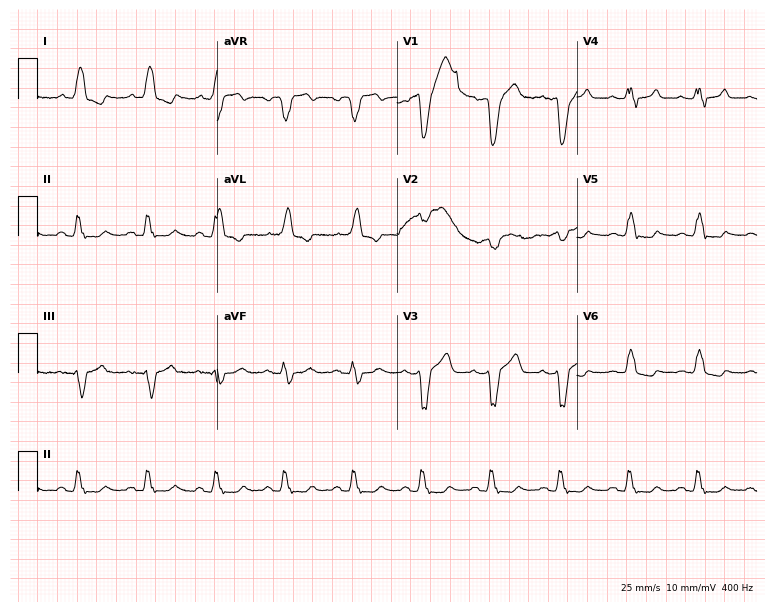
12-lead ECG from a male, 59 years old (7.3-second recording at 400 Hz). Shows left bundle branch block.